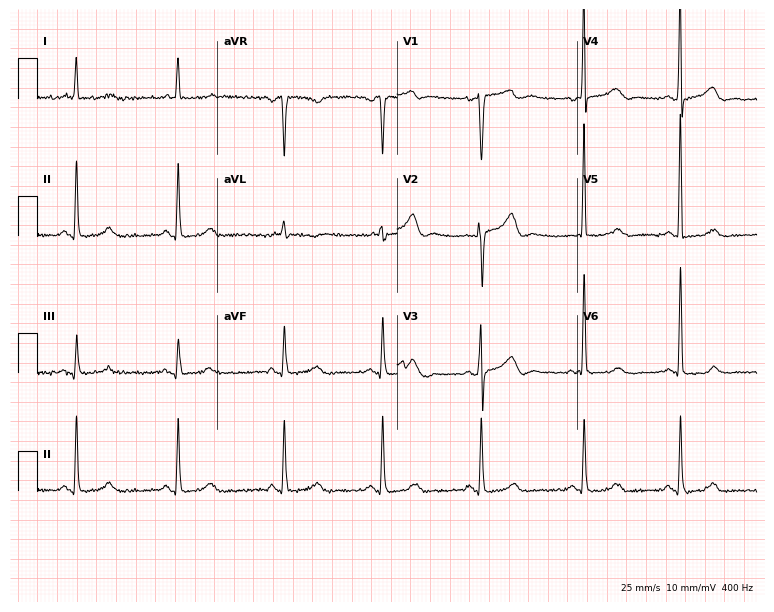
Electrocardiogram, a 51-year-old woman. Of the six screened findings (first-degree AV block, right bundle branch block, left bundle branch block, sinus bradycardia, atrial fibrillation, sinus tachycardia), none is recorded. Findings outside these six are not listed.